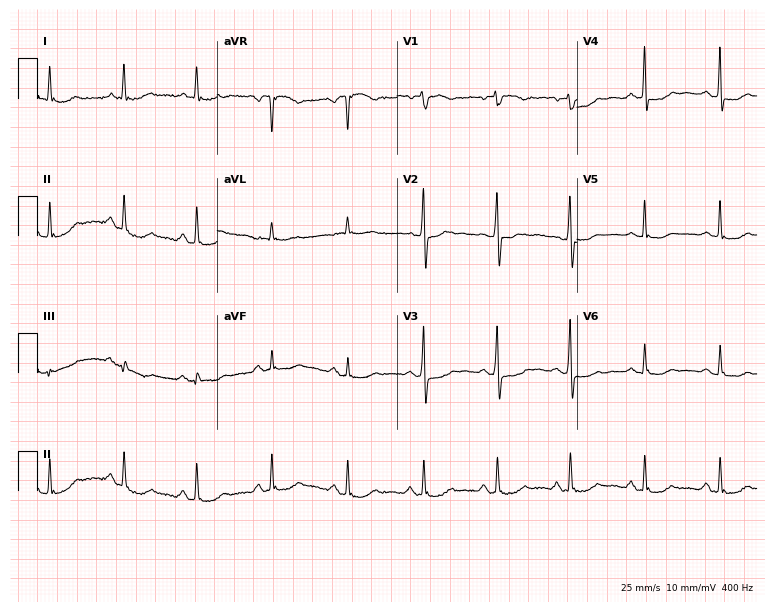
12-lead ECG from a 68-year-old woman. Screened for six findings — first-degree AV block, right bundle branch block, left bundle branch block, sinus bradycardia, atrial fibrillation, sinus tachycardia — none is recorded.